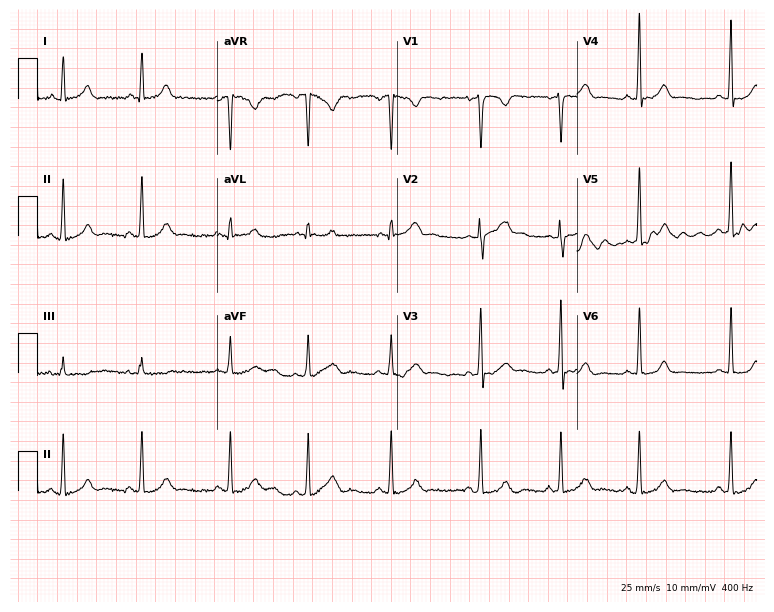
12-lead ECG (7.3-second recording at 400 Hz) from a 31-year-old woman. Screened for six findings — first-degree AV block, right bundle branch block, left bundle branch block, sinus bradycardia, atrial fibrillation, sinus tachycardia — none is recorded.